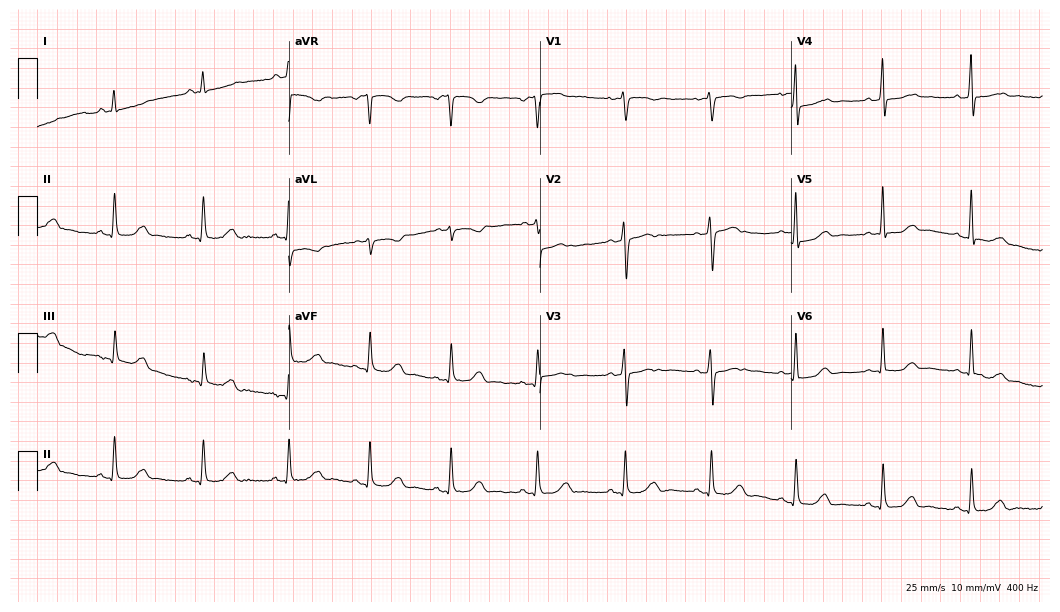
12-lead ECG from a 51-year-old woman (10.2-second recording at 400 Hz). No first-degree AV block, right bundle branch block, left bundle branch block, sinus bradycardia, atrial fibrillation or sinus tachycardia recorded for this tracing.